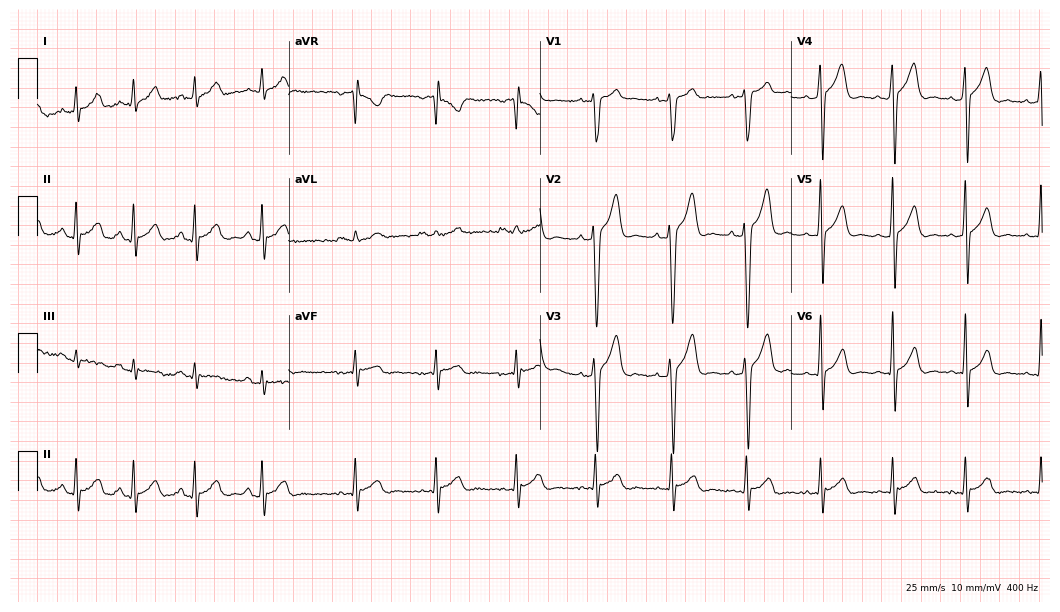
12-lead ECG from a 20-year-old male patient (10.2-second recording at 400 Hz). Recorded interpretation: within normal limits.